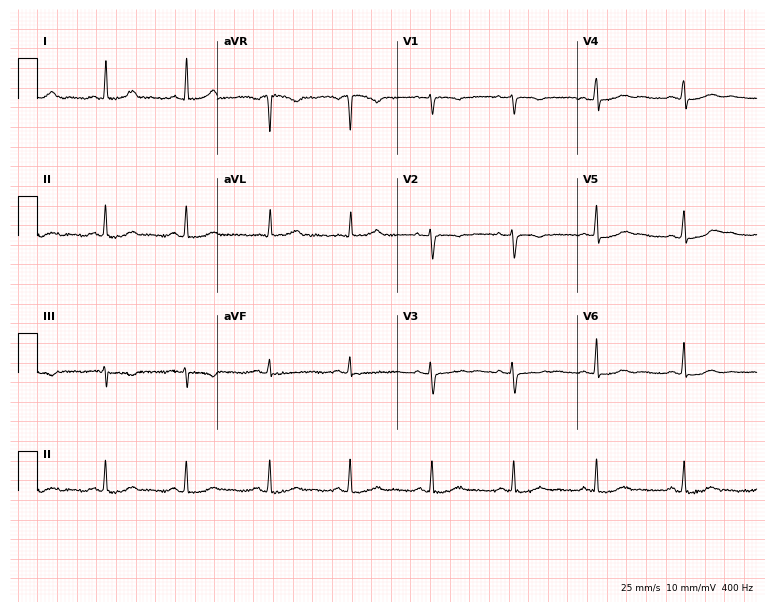
Standard 12-lead ECG recorded from a 39-year-old woman. None of these six findings is recorded: first-degree AV block, right bundle branch block (RBBB), left bundle branch block (LBBB), sinus bradycardia, atrial fibrillation (AF), sinus tachycardia. Findings outside these six are not listed.